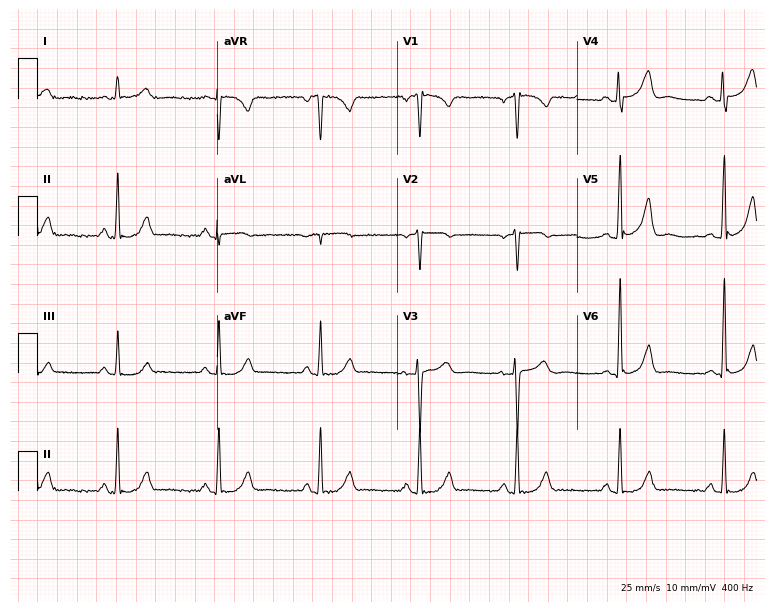
Standard 12-lead ECG recorded from a 41-year-old woman (7.3-second recording at 400 Hz). Read as a normal ECG.